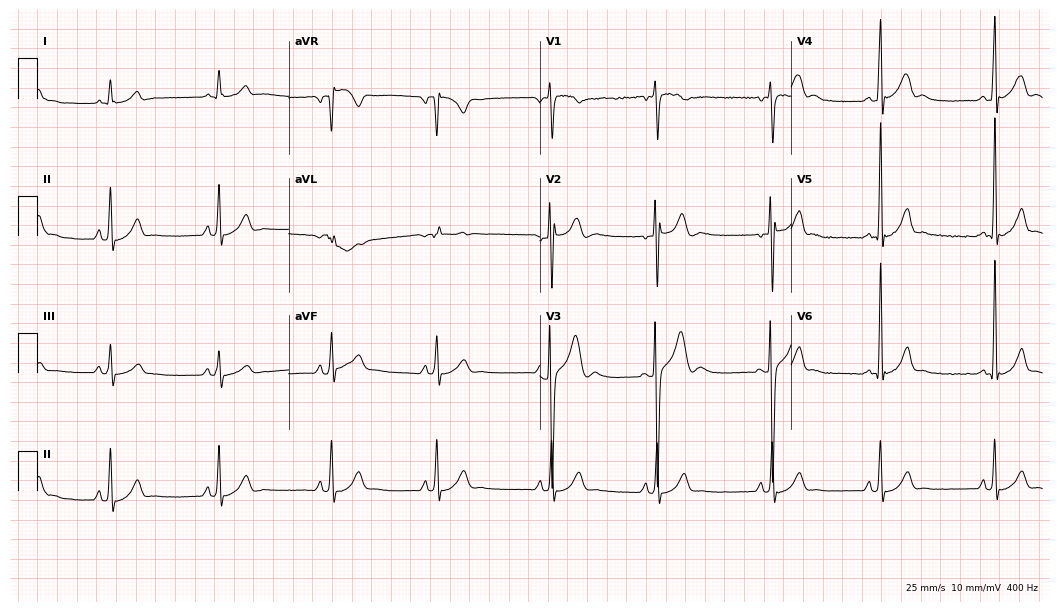
Electrocardiogram (10.2-second recording at 400 Hz), a man, 18 years old. Overall reading on record: normal ECG.